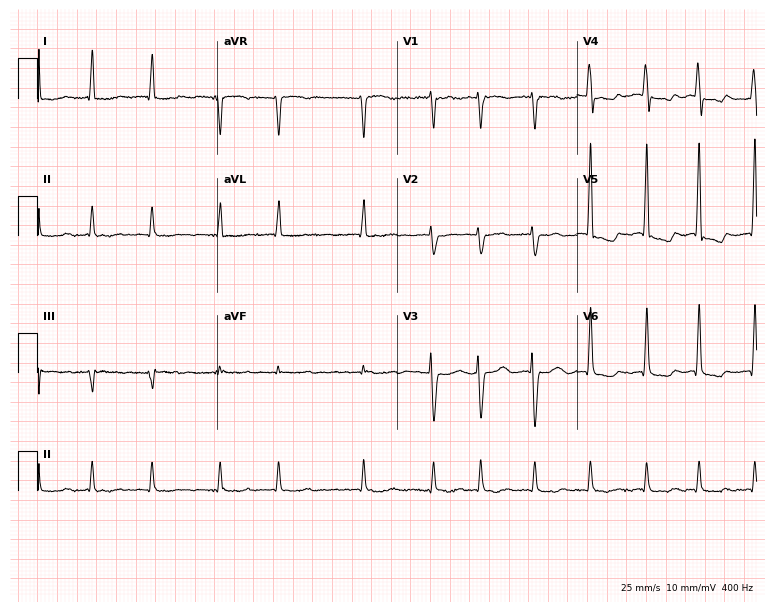
Standard 12-lead ECG recorded from a female, 76 years old. The tracing shows atrial fibrillation (AF).